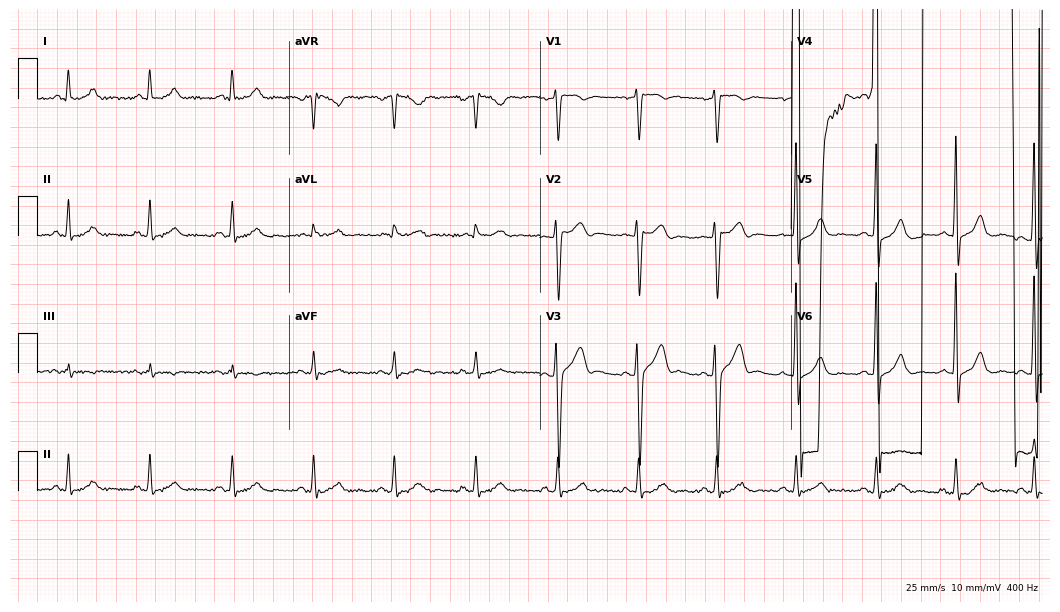
ECG — a 33-year-old man. Screened for six findings — first-degree AV block, right bundle branch block (RBBB), left bundle branch block (LBBB), sinus bradycardia, atrial fibrillation (AF), sinus tachycardia — none is recorded. Findings outside these six are not listed.